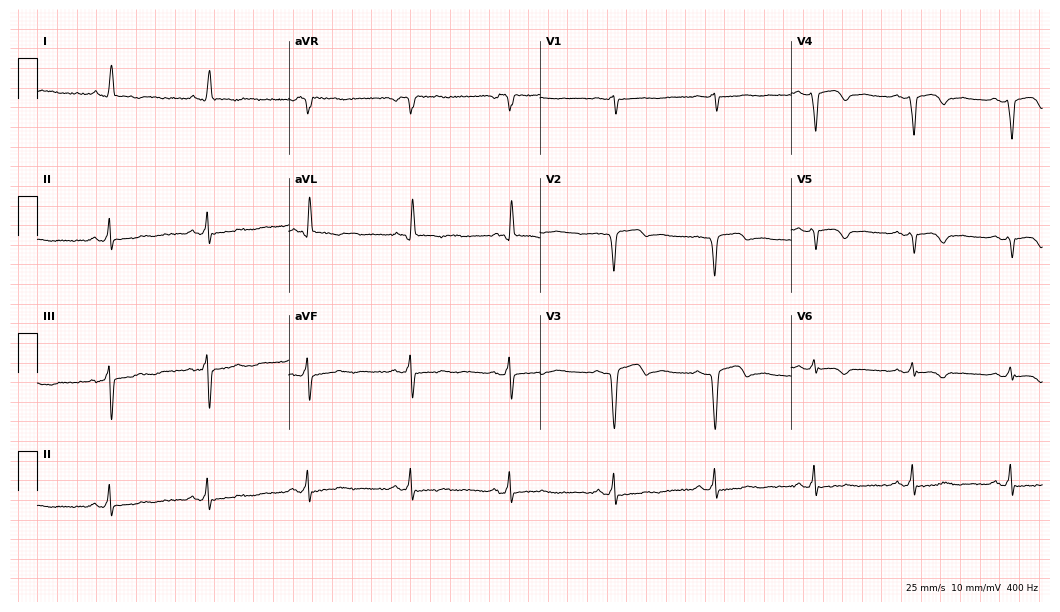
Electrocardiogram (10.2-second recording at 400 Hz), a 58-year-old woman. Of the six screened findings (first-degree AV block, right bundle branch block, left bundle branch block, sinus bradycardia, atrial fibrillation, sinus tachycardia), none is recorded. Other findings, if any, are not listed.